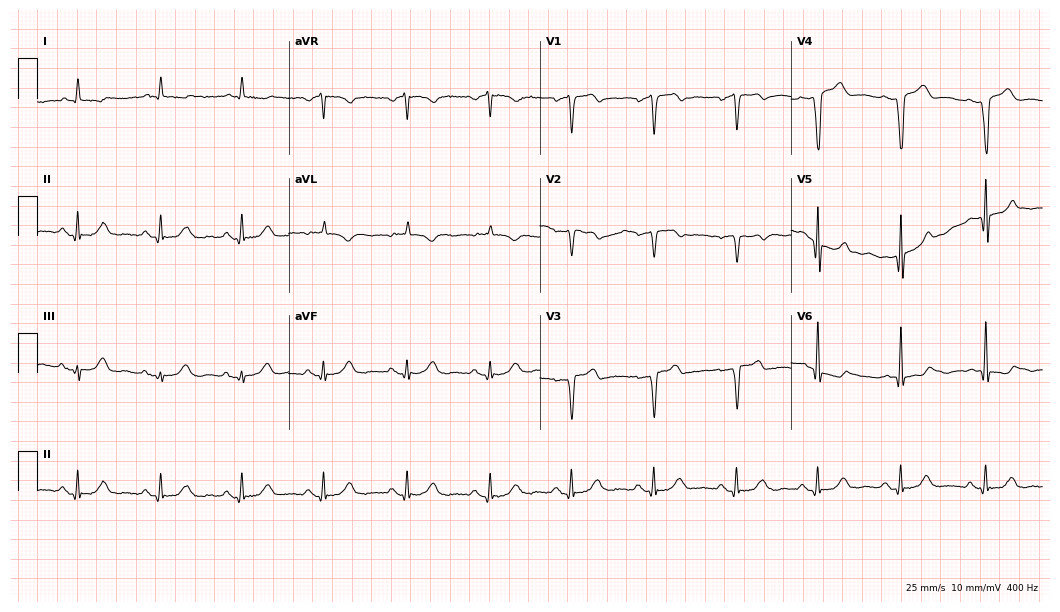
12-lead ECG from a male, 51 years old. No first-degree AV block, right bundle branch block, left bundle branch block, sinus bradycardia, atrial fibrillation or sinus tachycardia recorded for this tracing. Only these six findings were labelled.